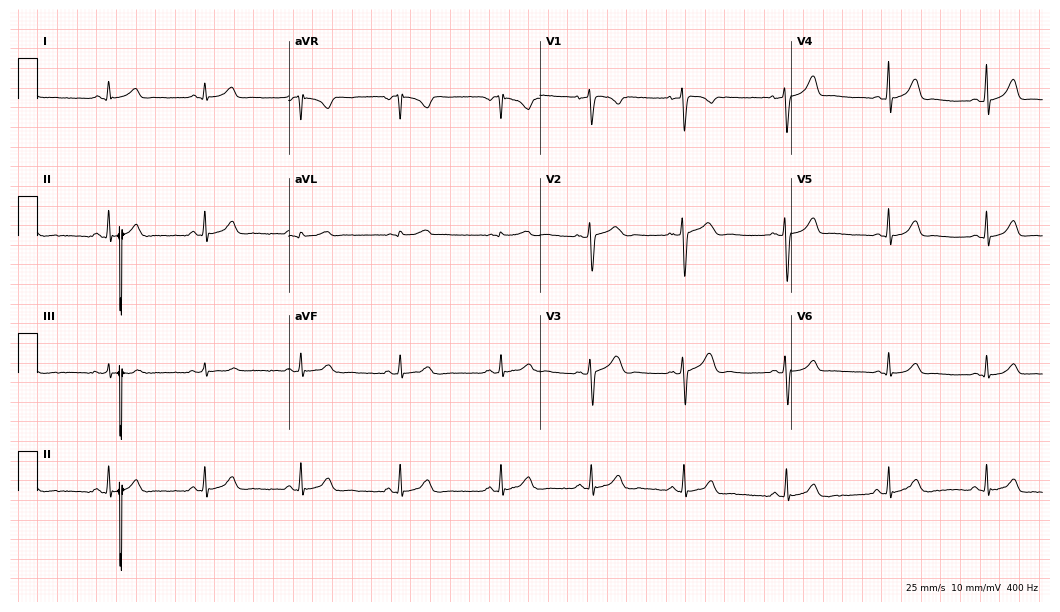
Standard 12-lead ECG recorded from a woman, 20 years old (10.2-second recording at 400 Hz). None of these six findings is recorded: first-degree AV block, right bundle branch block, left bundle branch block, sinus bradycardia, atrial fibrillation, sinus tachycardia.